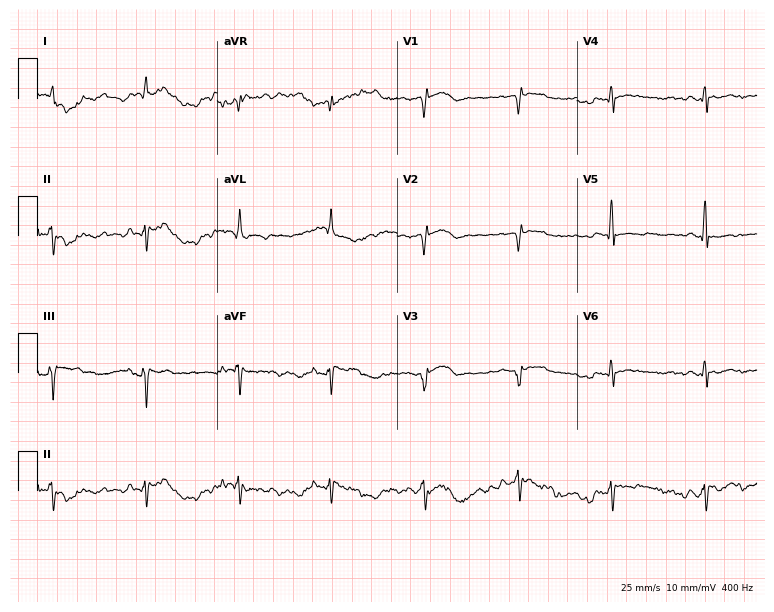
12-lead ECG (7.3-second recording at 400 Hz) from a 73-year-old female patient. Screened for six findings — first-degree AV block, right bundle branch block, left bundle branch block, sinus bradycardia, atrial fibrillation, sinus tachycardia — none is recorded.